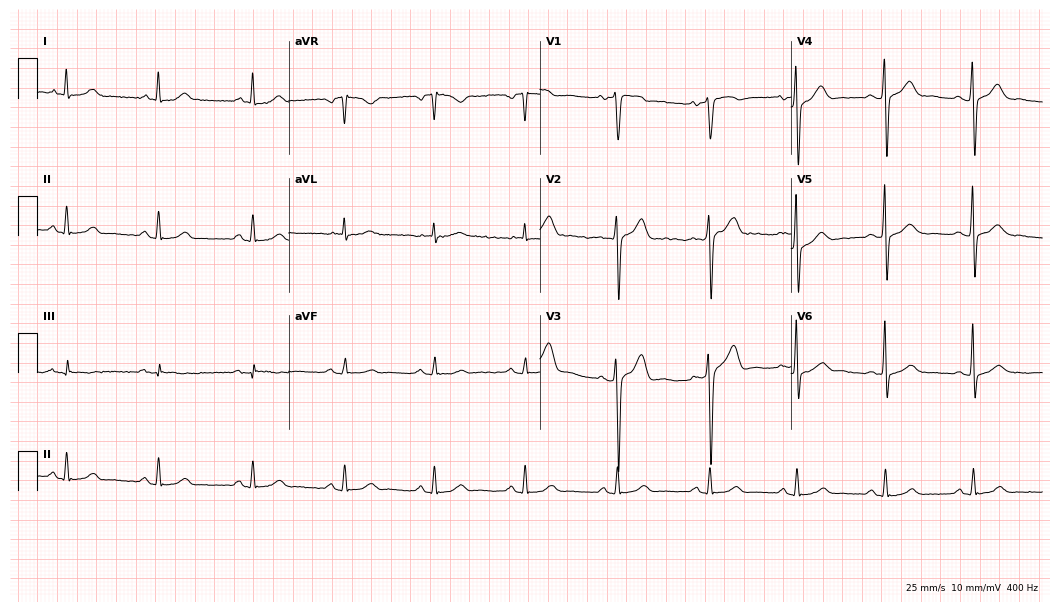
Resting 12-lead electrocardiogram (10.2-second recording at 400 Hz). Patient: a 50-year-old male. Read as a normal ECG.